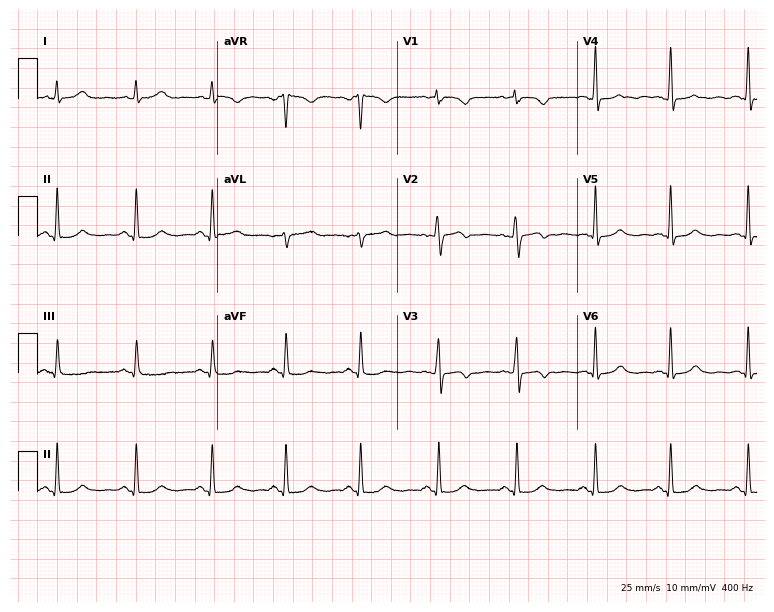
Standard 12-lead ECG recorded from a female patient, 38 years old. None of these six findings is recorded: first-degree AV block, right bundle branch block (RBBB), left bundle branch block (LBBB), sinus bradycardia, atrial fibrillation (AF), sinus tachycardia. Other findings, if any, are not listed.